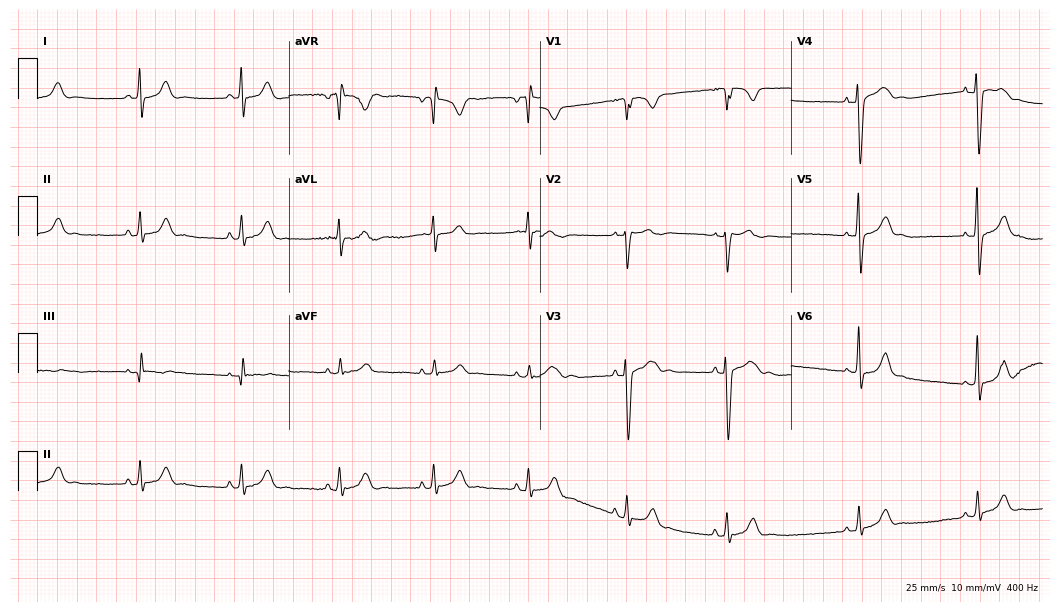
Electrocardiogram, a male patient, 20 years old. Overall reading on record: normal ECG.